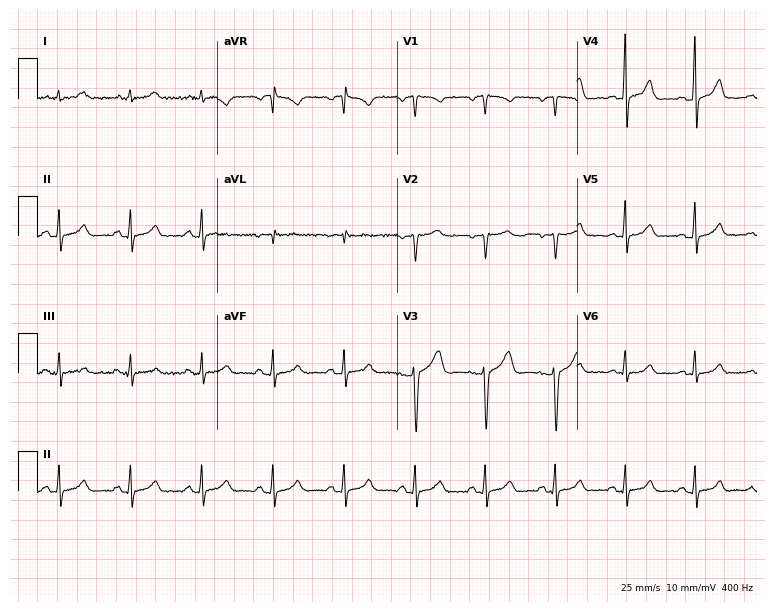
12-lead ECG from a 52-year-old female patient. Screened for six findings — first-degree AV block, right bundle branch block (RBBB), left bundle branch block (LBBB), sinus bradycardia, atrial fibrillation (AF), sinus tachycardia — none is recorded.